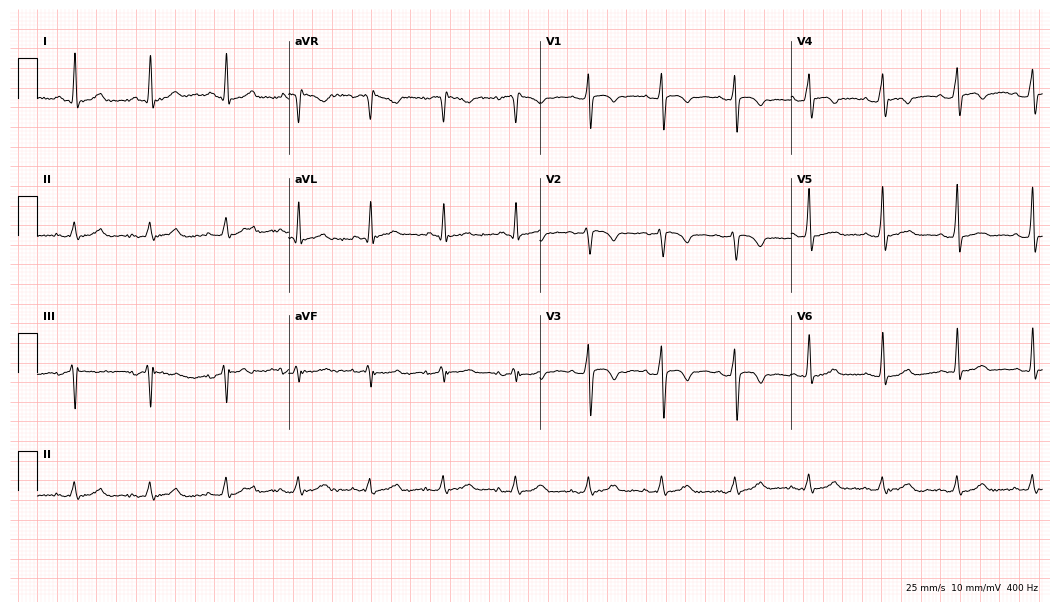
ECG — a man, 38 years old. Screened for six findings — first-degree AV block, right bundle branch block, left bundle branch block, sinus bradycardia, atrial fibrillation, sinus tachycardia — none is recorded.